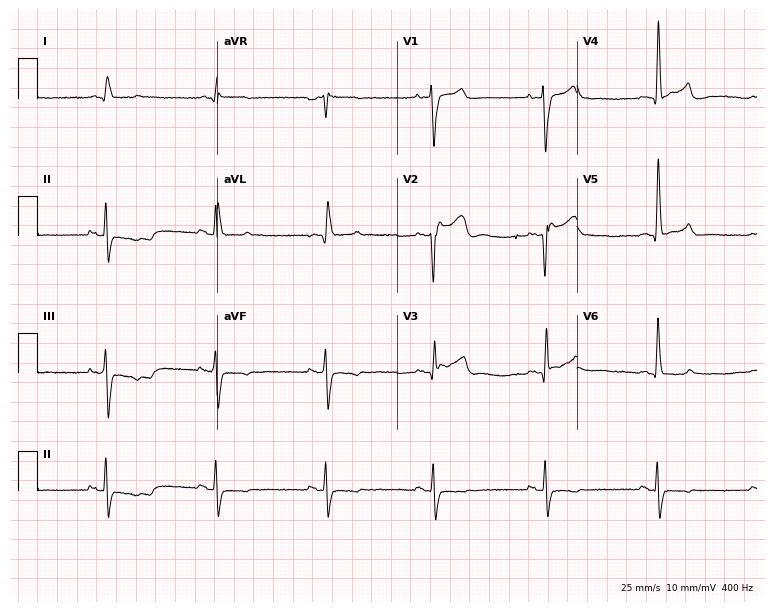
12-lead ECG (7.3-second recording at 400 Hz) from a 53-year-old male patient. Screened for six findings — first-degree AV block, right bundle branch block, left bundle branch block, sinus bradycardia, atrial fibrillation, sinus tachycardia — none is recorded. Only these six findings were labelled.